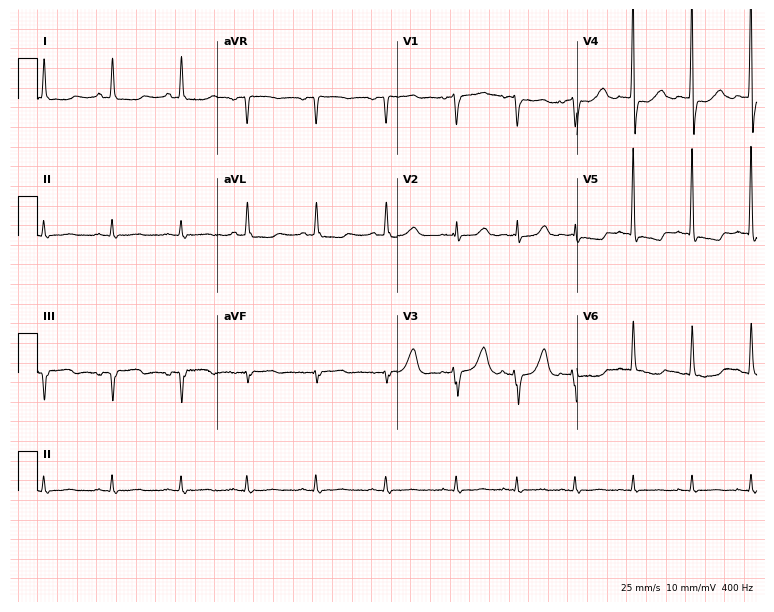
12-lead ECG from a woman, 84 years old. No first-degree AV block, right bundle branch block (RBBB), left bundle branch block (LBBB), sinus bradycardia, atrial fibrillation (AF) or sinus tachycardia recorded for this tracing. Only these six findings were labelled.